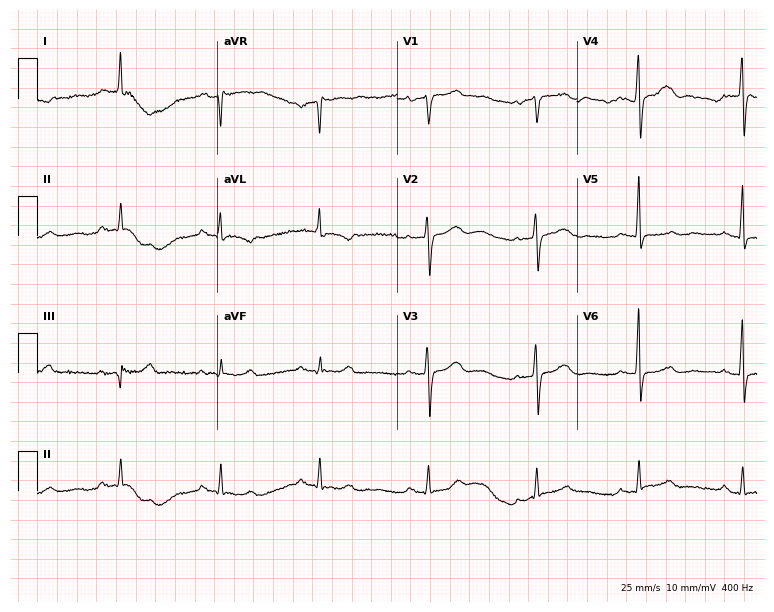
ECG — a 61-year-old female patient. Screened for six findings — first-degree AV block, right bundle branch block, left bundle branch block, sinus bradycardia, atrial fibrillation, sinus tachycardia — none is recorded. Other findings, if any, are not listed.